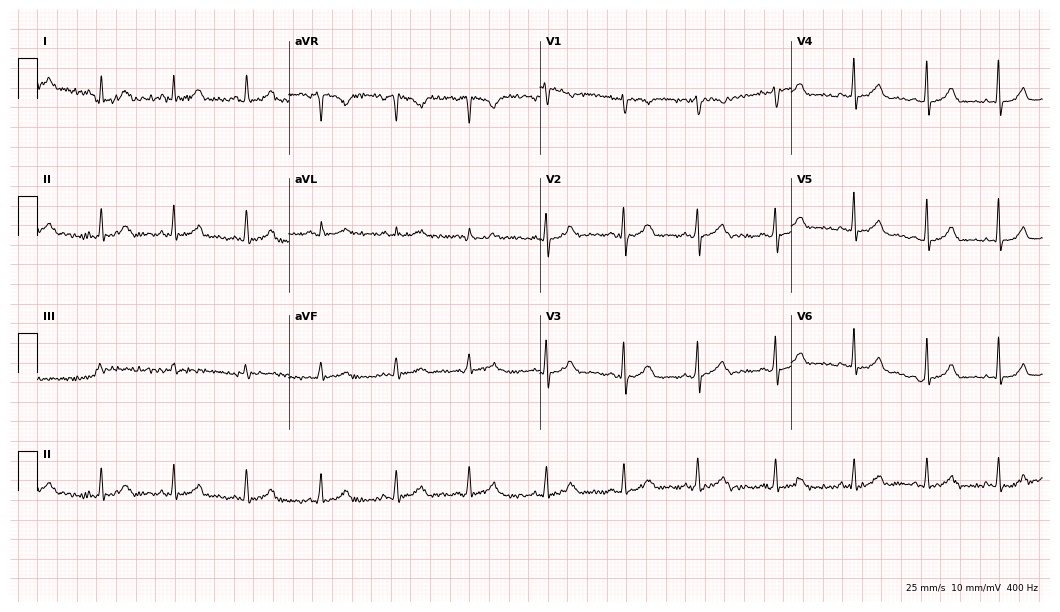
12-lead ECG (10.2-second recording at 400 Hz) from a 27-year-old female patient. Labelled as a normal ECG.